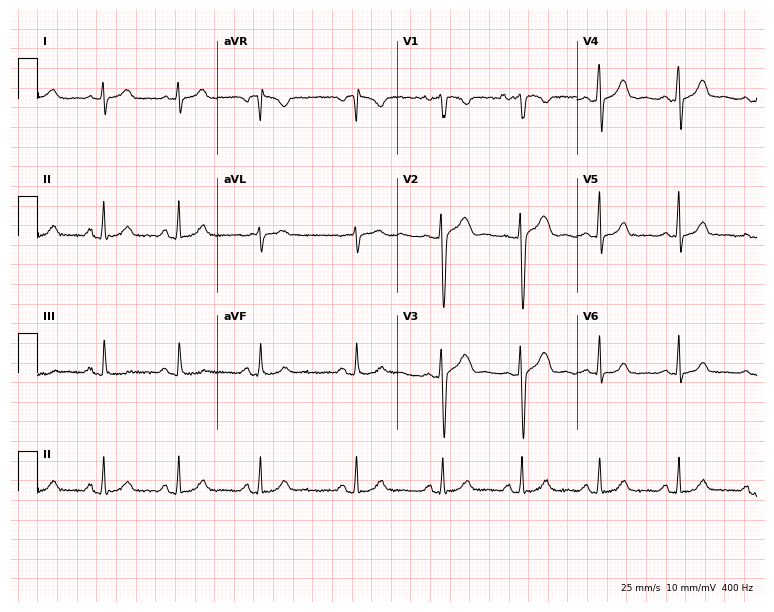
Resting 12-lead electrocardiogram (7.3-second recording at 400 Hz). Patient: a woman, 25 years old. None of these six findings is recorded: first-degree AV block, right bundle branch block (RBBB), left bundle branch block (LBBB), sinus bradycardia, atrial fibrillation (AF), sinus tachycardia.